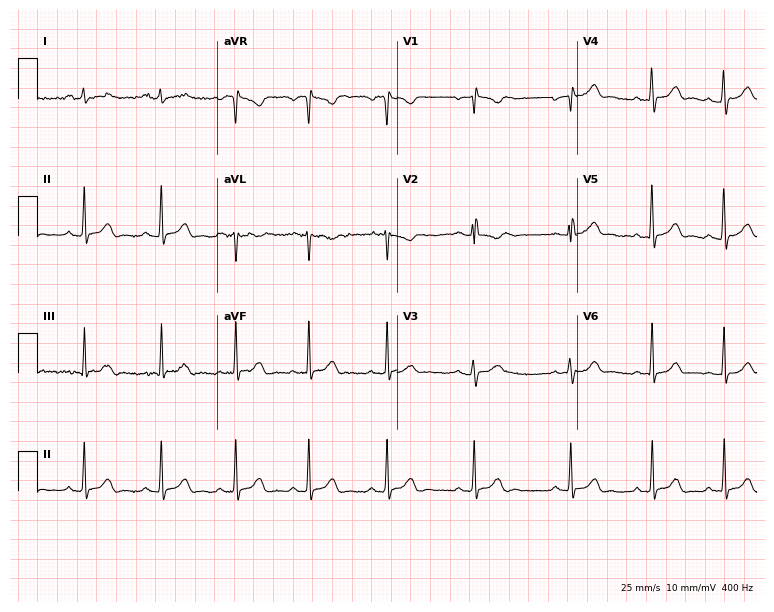
ECG — a woman, 22 years old. Labelled as a normal ECG.